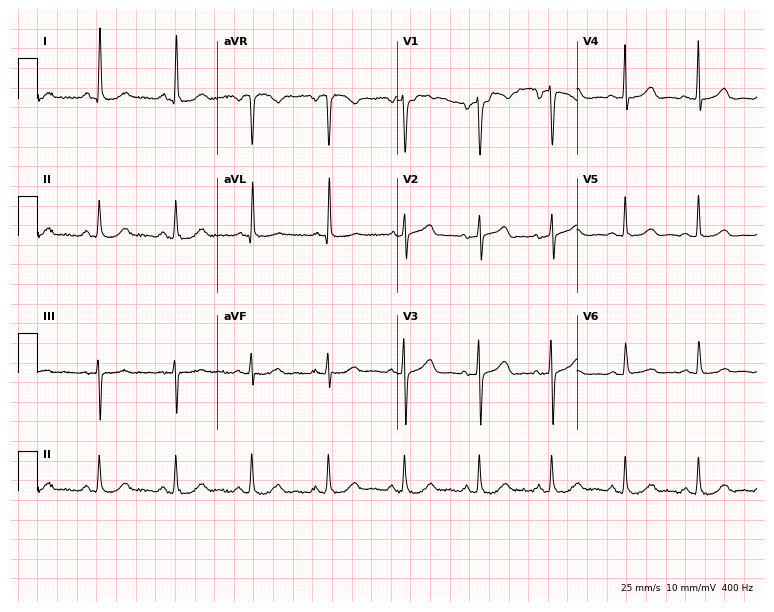
12-lead ECG (7.3-second recording at 400 Hz) from a woman, 57 years old. Labelled as a normal ECG.